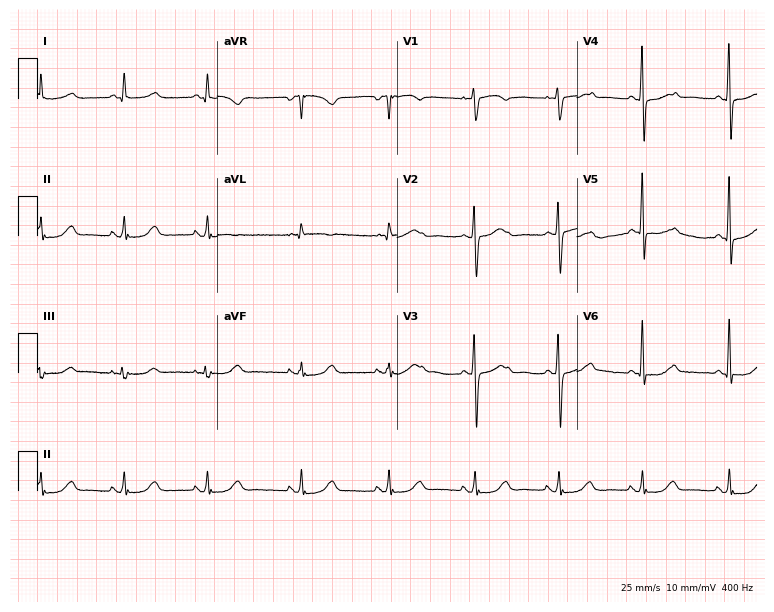
Electrocardiogram, a 62-year-old woman. Of the six screened findings (first-degree AV block, right bundle branch block, left bundle branch block, sinus bradycardia, atrial fibrillation, sinus tachycardia), none is recorded.